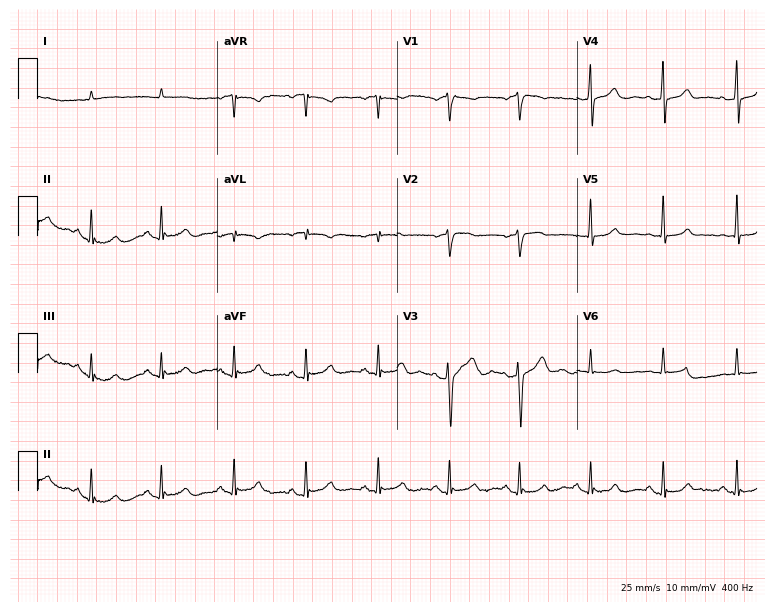
12-lead ECG (7.3-second recording at 400 Hz) from a man, 59 years old. Screened for six findings — first-degree AV block, right bundle branch block, left bundle branch block, sinus bradycardia, atrial fibrillation, sinus tachycardia — none is recorded.